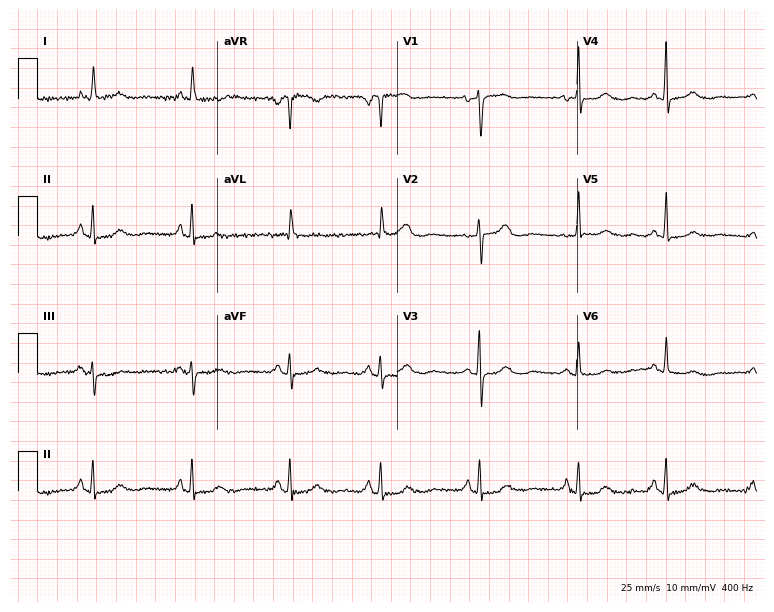
12-lead ECG from a female patient, 71 years old. Labelled as a normal ECG.